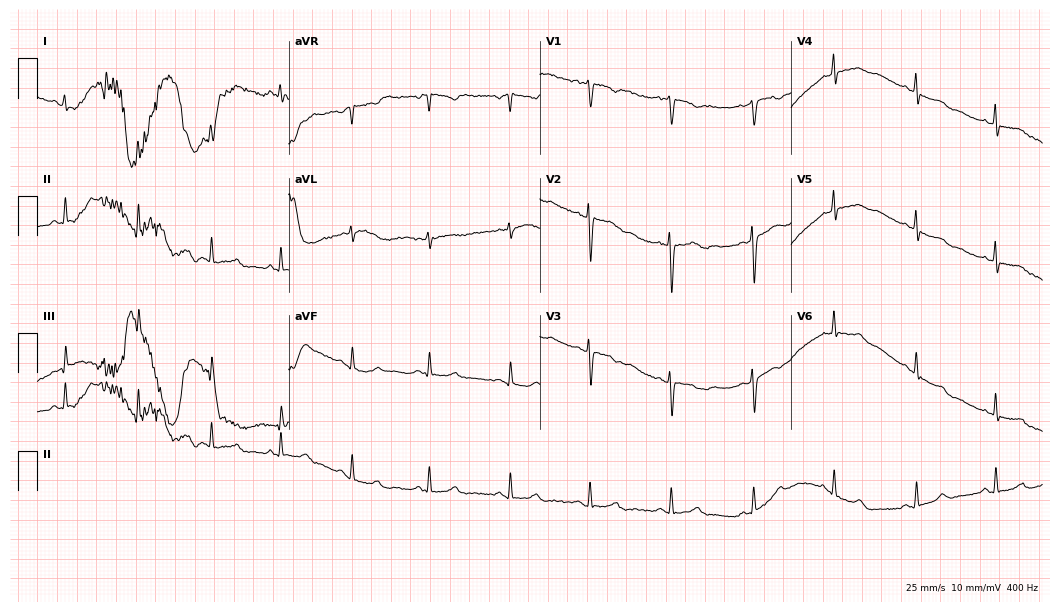
Standard 12-lead ECG recorded from a female patient, 23 years old. None of these six findings is recorded: first-degree AV block, right bundle branch block, left bundle branch block, sinus bradycardia, atrial fibrillation, sinus tachycardia.